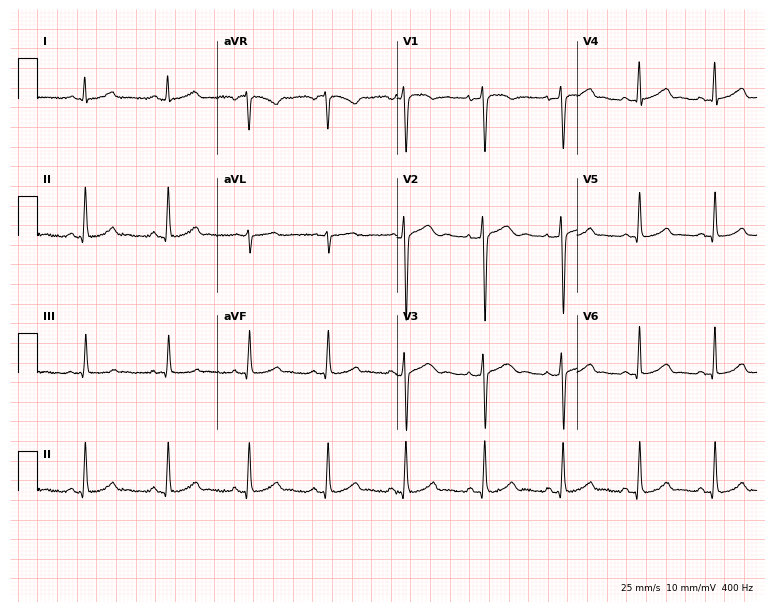
Standard 12-lead ECG recorded from a female patient, 31 years old (7.3-second recording at 400 Hz). Read as a normal ECG.